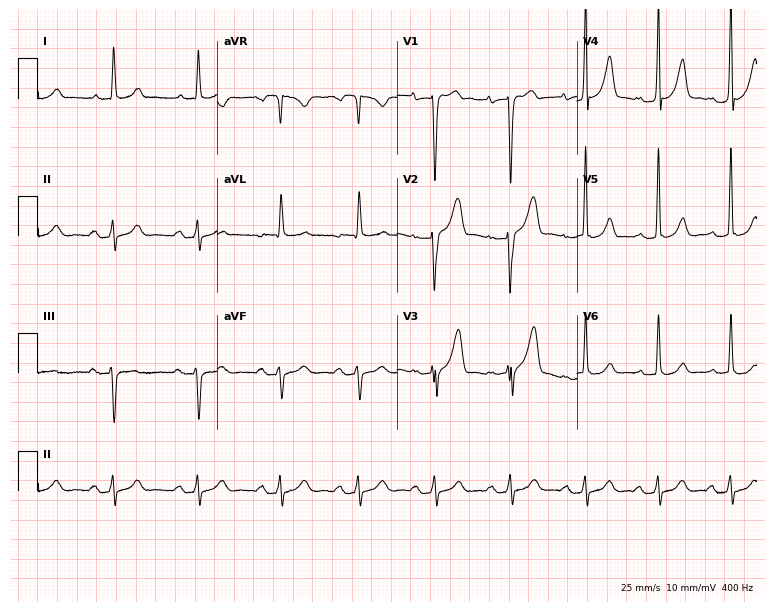
Electrocardiogram (7.3-second recording at 400 Hz), a man, 59 years old. Of the six screened findings (first-degree AV block, right bundle branch block (RBBB), left bundle branch block (LBBB), sinus bradycardia, atrial fibrillation (AF), sinus tachycardia), none is recorded.